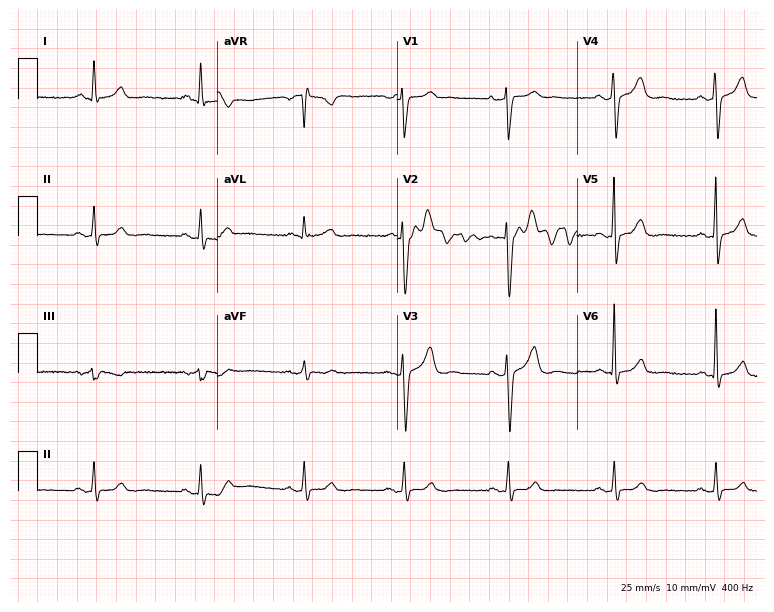
12-lead ECG from a 44-year-old man. Labelled as a normal ECG.